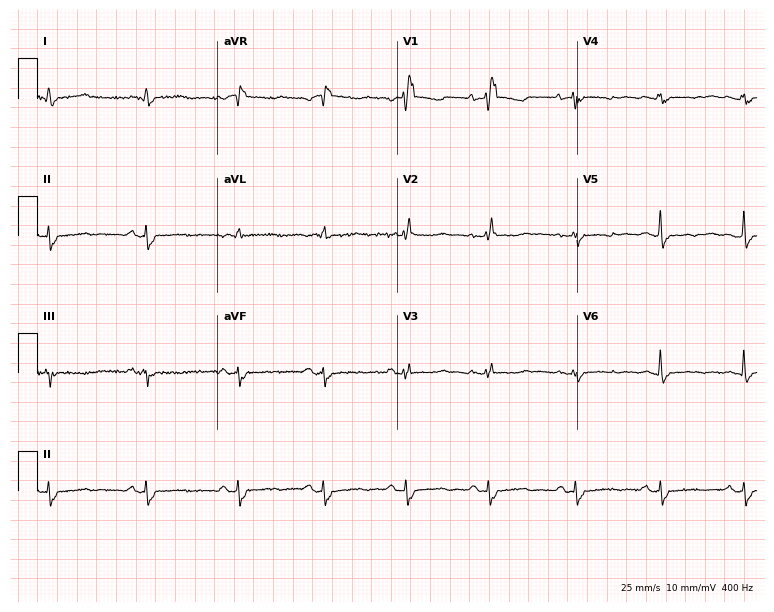
12-lead ECG (7.3-second recording at 400 Hz) from a female, 59 years old. Findings include right bundle branch block.